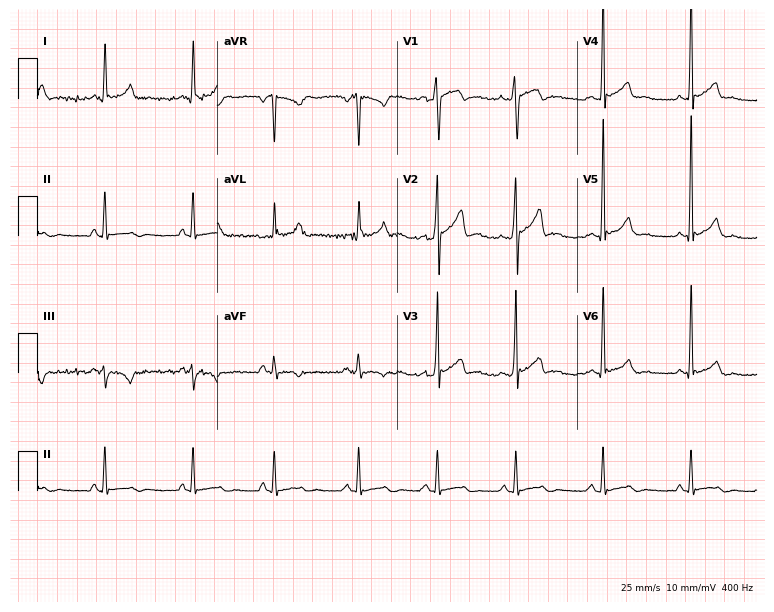
12-lead ECG from a 31-year-old male. Labelled as a normal ECG.